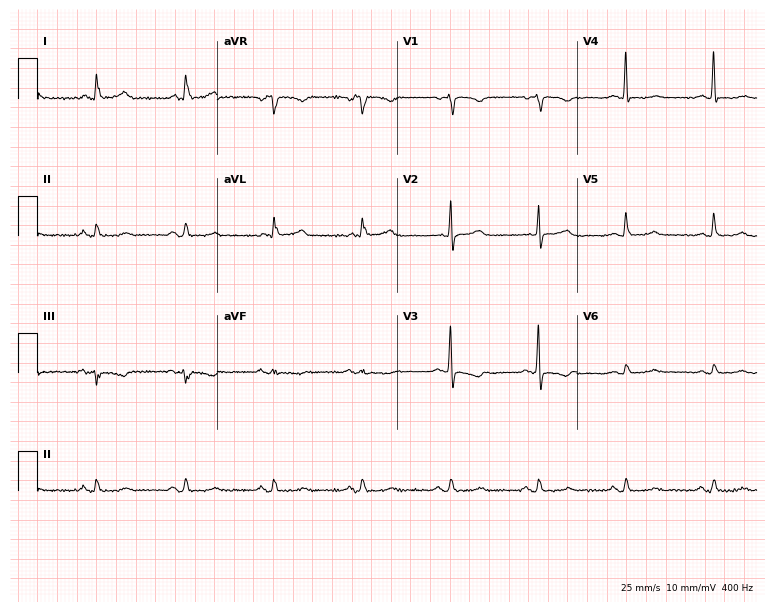
Electrocardiogram (7.3-second recording at 400 Hz), a 69-year-old female. Of the six screened findings (first-degree AV block, right bundle branch block (RBBB), left bundle branch block (LBBB), sinus bradycardia, atrial fibrillation (AF), sinus tachycardia), none is recorded.